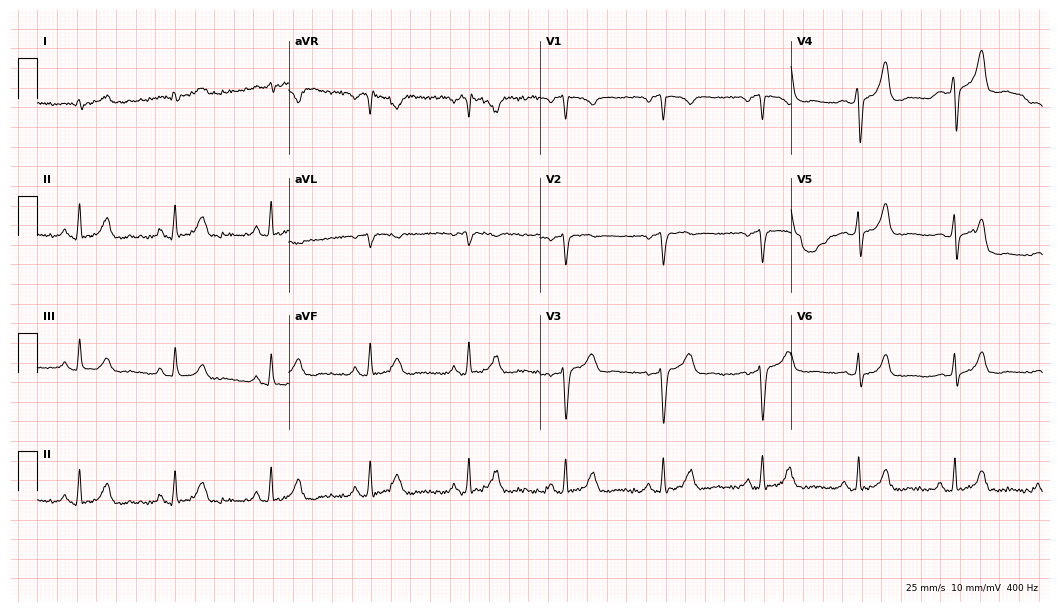
12-lead ECG from a man, 64 years old (10.2-second recording at 400 Hz). Recorded interpretation: within normal limits.